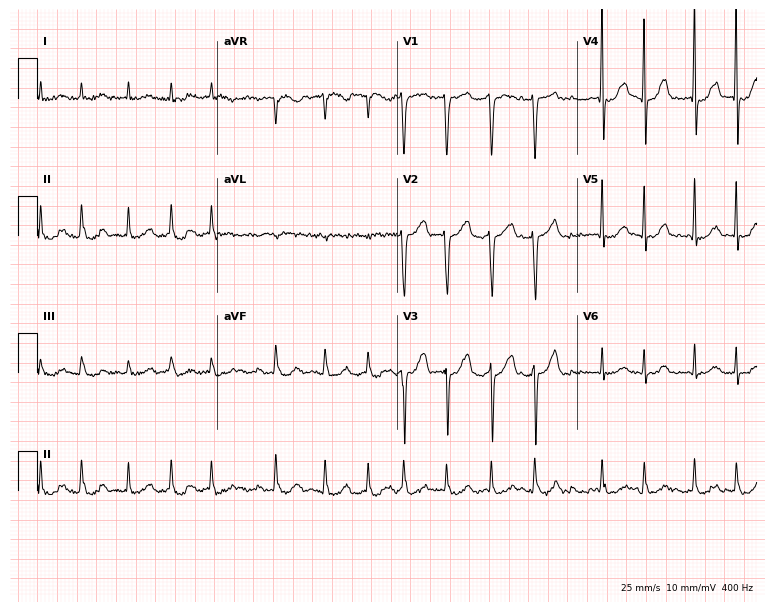
ECG (7.3-second recording at 400 Hz) — a 75-year-old woman. Findings include atrial fibrillation.